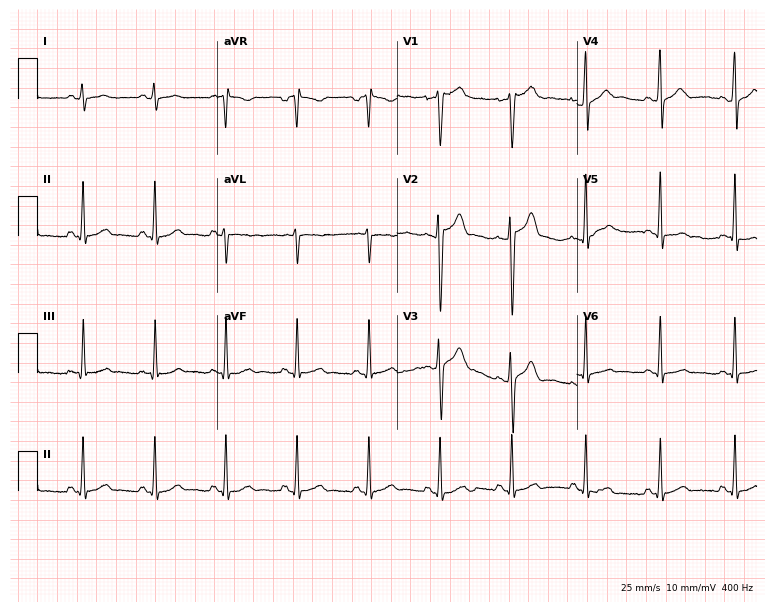
Resting 12-lead electrocardiogram (7.3-second recording at 400 Hz). Patient: a male, 26 years old. Read as a normal ECG.